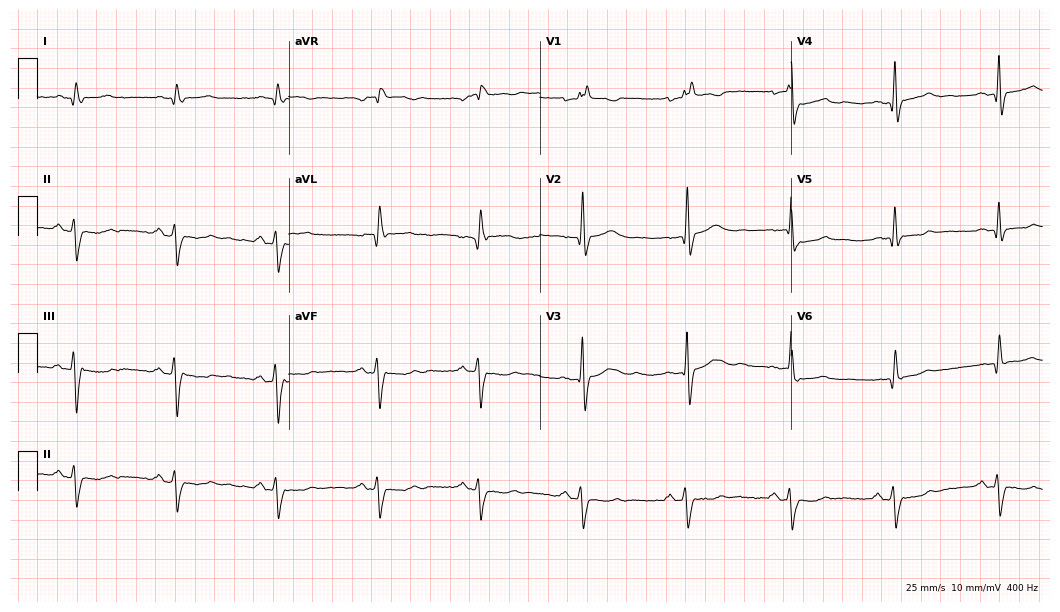
Standard 12-lead ECG recorded from a man, 46 years old (10.2-second recording at 400 Hz). The tracing shows right bundle branch block (RBBB).